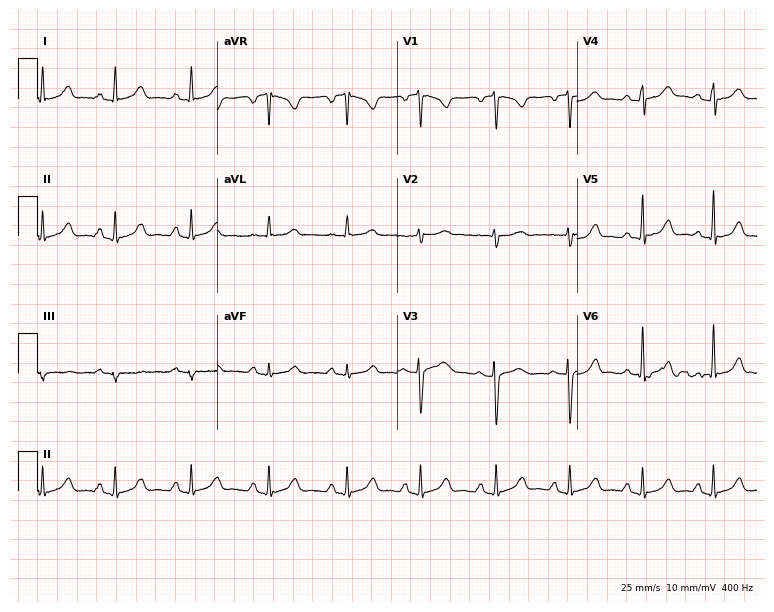
12-lead ECG (7.3-second recording at 400 Hz) from a 19-year-old female. Labelled as a normal ECG.